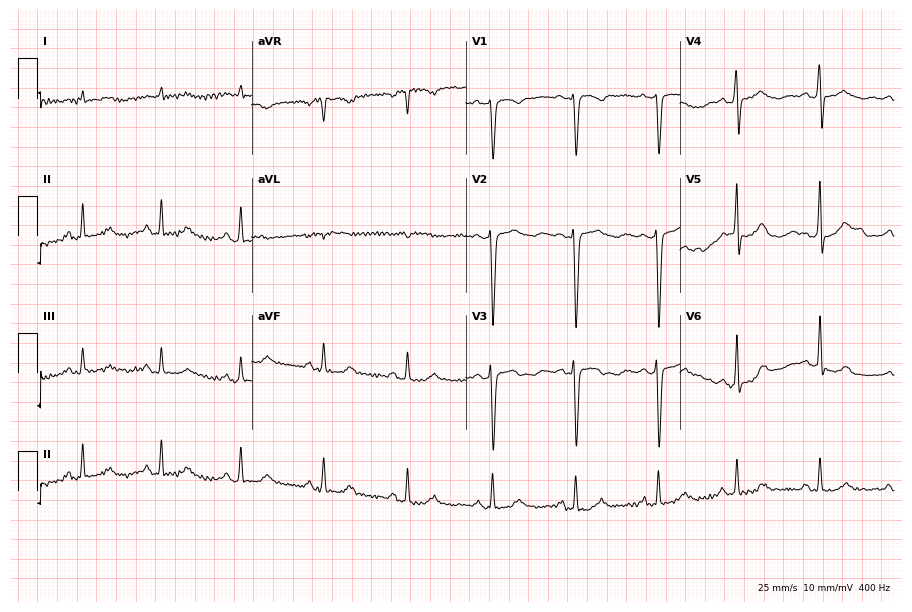
Electrocardiogram (8.7-second recording at 400 Hz), a 47-year-old female. Of the six screened findings (first-degree AV block, right bundle branch block, left bundle branch block, sinus bradycardia, atrial fibrillation, sinus tachycardia), none is recorded. Only these six findings were labelled.